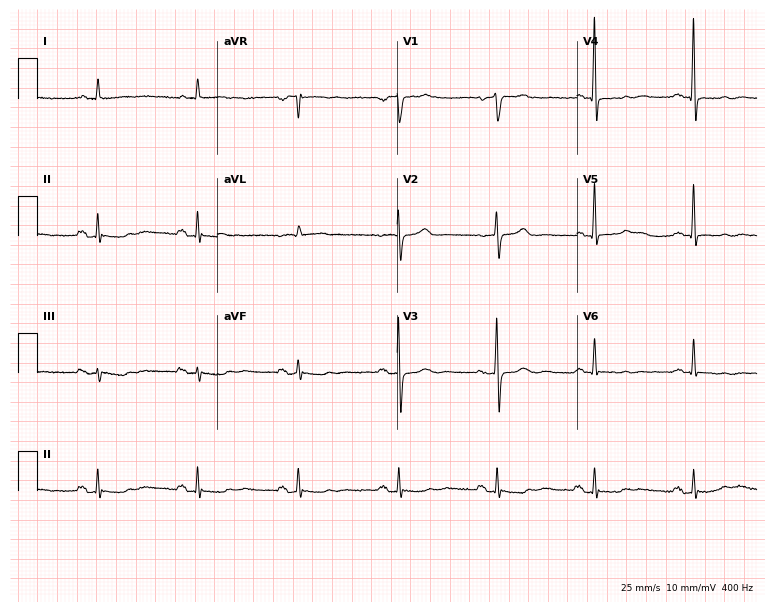
Standard 12-lead ECG recorded from a male patient, 80 years old (7.3-second recording at 400 Hz). None of these six findings is recorded: first-degree AV block, right bundle branch block, left bundle branch block, sinus bradycardia, atrial fibrillation, sinus tachycardia. Findings outside these six are not listed.